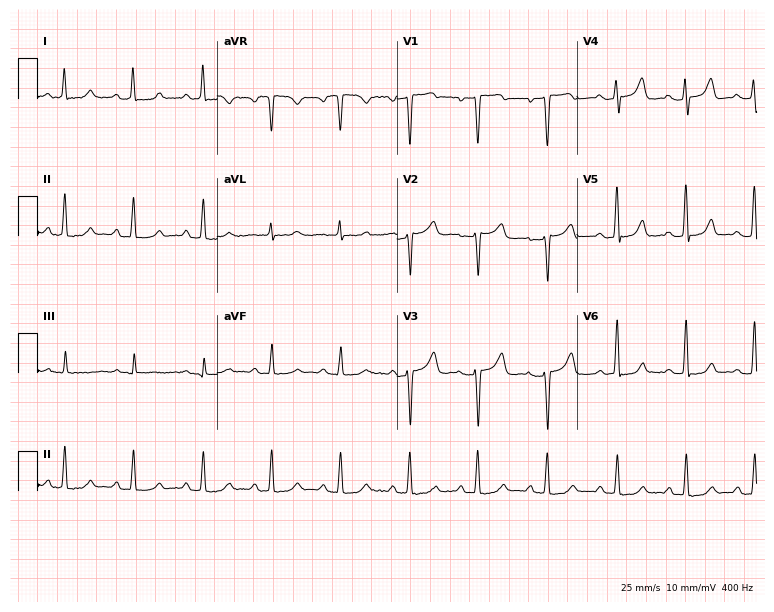
Resting 12-lead electrocardiogram. Patient: a 46-year-old female. None of these six findings is recorded: first-degree AV block, right bundle branch block (RBBB), left bundle branch block (LBBB), sinus bradycardia, atrial fibrillation (AF), sinus tachycardia.